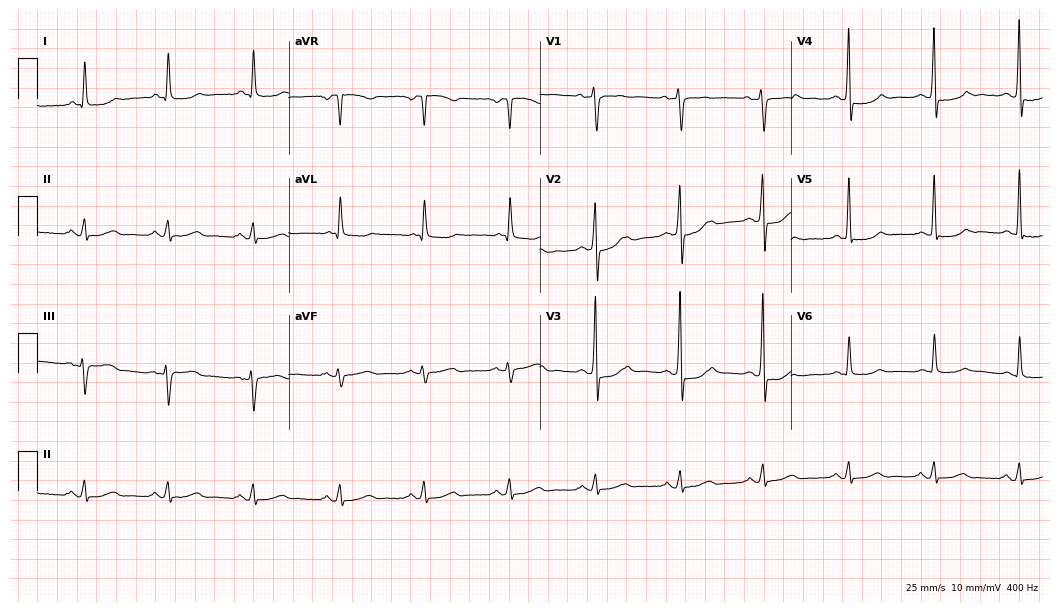
Resting 12-lead electrocardiogram (10.2-second recording at 400 Hz). Patient: a male, 80 years old. Read as a normal ECG.